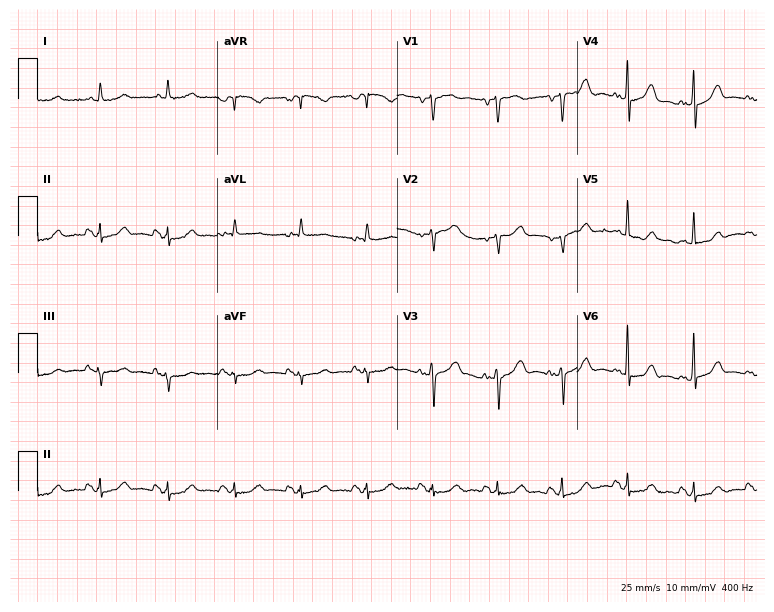
Resting 12-lead electrocardiogram. Patient: a woman, 82 years old. Read as a normal ECG.